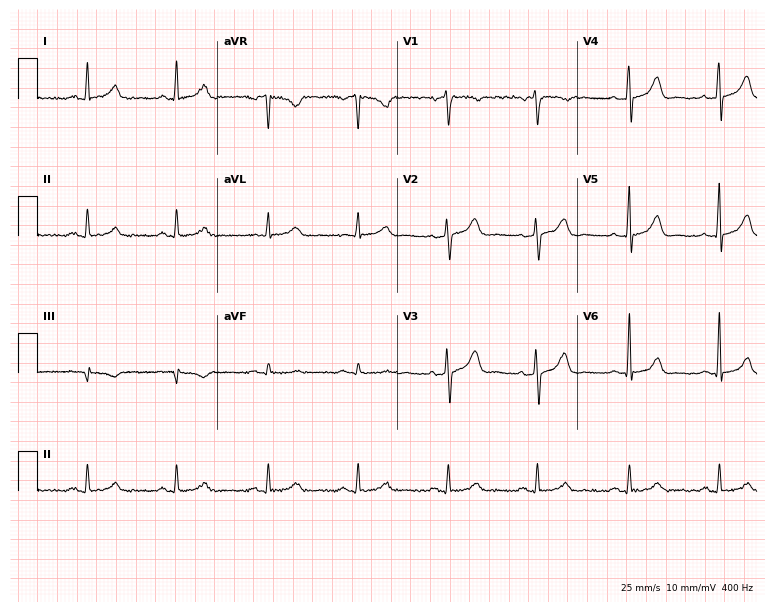
12-lead ECG from a female patient, 37 years old. No first-degree AV block, right bundle branch block (RBBB), left bundle branch block (LBBB), sinus bradycardia, atrial fibrillation (AF) or sinus tachycardia recorded for this tracing. Only these six findings were labelled.